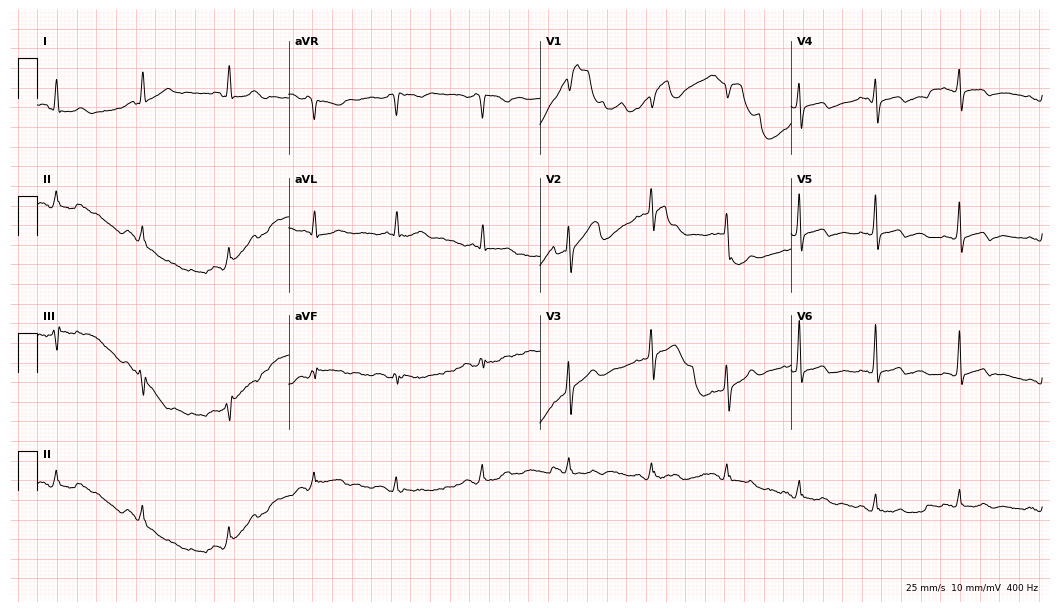
Resting 12-lead electrocardiogram. Patient: a female, 50 years old. None of these six findings is recorded: first-degree AV block, right bundle branch block, left bundle branch block, sinus bradycardia, atrial fibrillation, sinus tachycardia. Only these six findings were labelled.